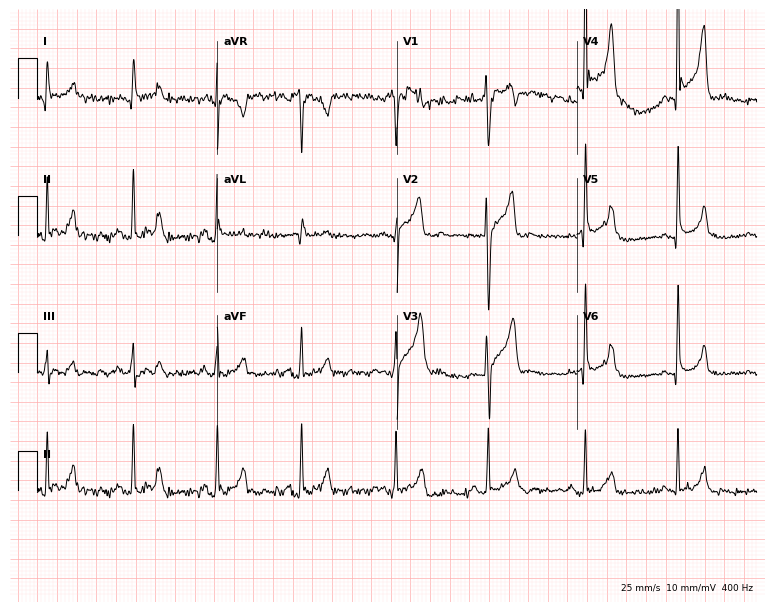
Electrocardiogram (7.3-second recording at 400 Hz), a male, 52 years old. Of the six screened findings (first-degree AV block, right bundle branch block, left bundle branch block, sinus bradycardia, atrial fibrillation, sinus tachycardia), none is recorded. Findings outside these six are not listed.